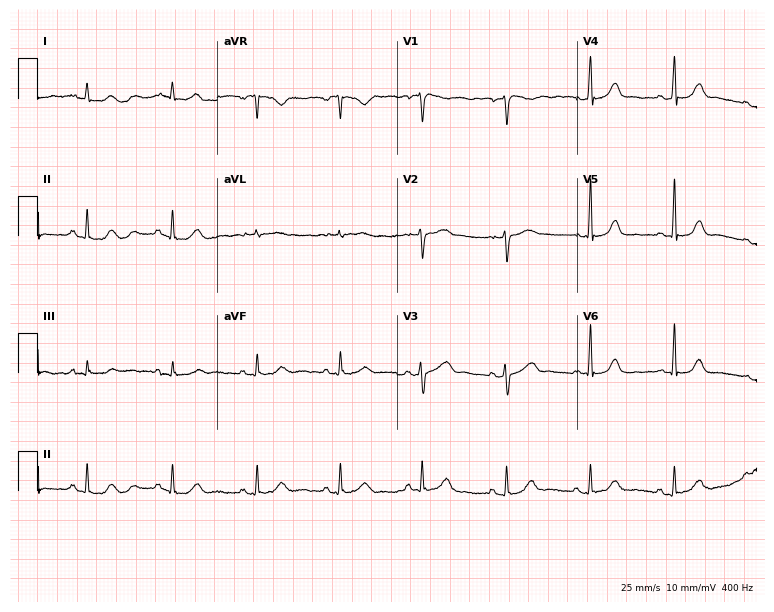
Electrocardiogram, a female, 36 years old. Overall reading on record: normal ECG.